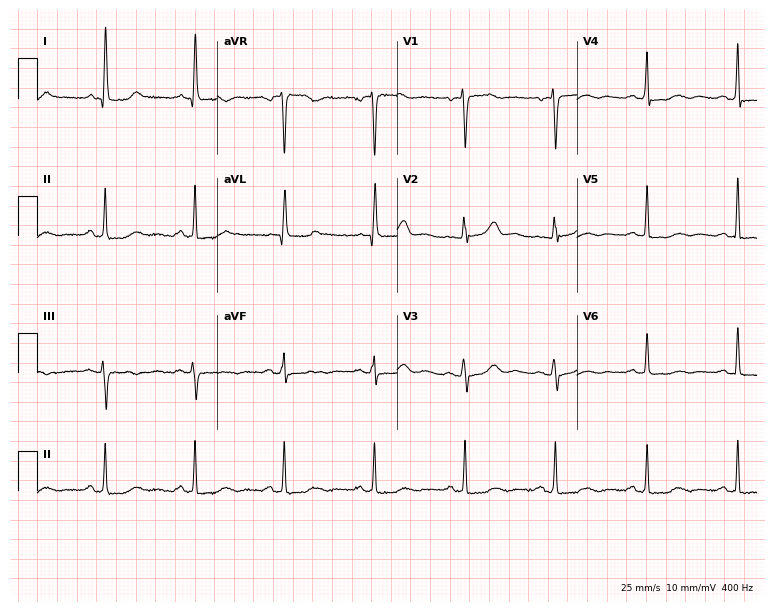
12-lead ECG from a female, 66 years old (7.3-second recording at 400 Hz). No first-degree AV block, right bundle branch block, left bundle branch block, sinus bradycardia, atrial fibrillation or sinus tachycardia recorded for this tracing.